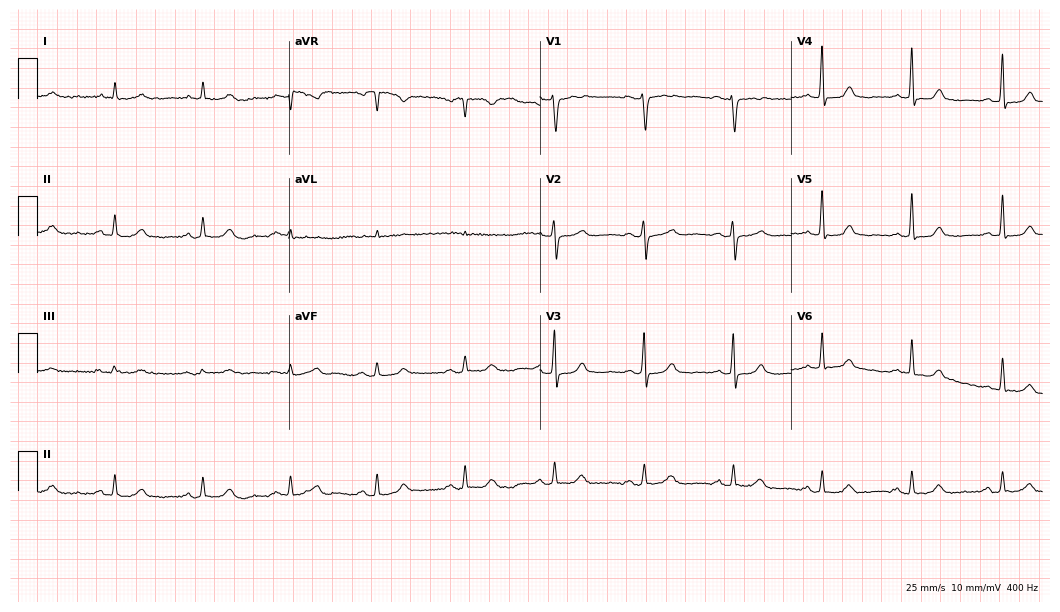
Electrocardiogram (10.2-second recording at 400 Hz), a female, 75 years old. Overall reading on record: normal ECG.